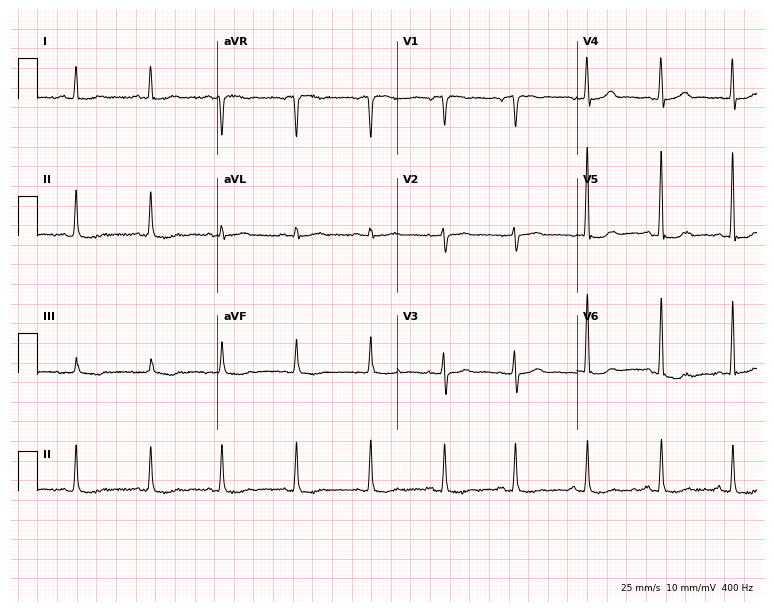
ECG — a female patient, 66 years old. Screened for six findings — first-degree AV block, right bundle branch block, left bundle branch block, sinus bradycardia, atrial fibrillation, sinus tachycardia — none is recorded. Other findings, if any, are not listed.